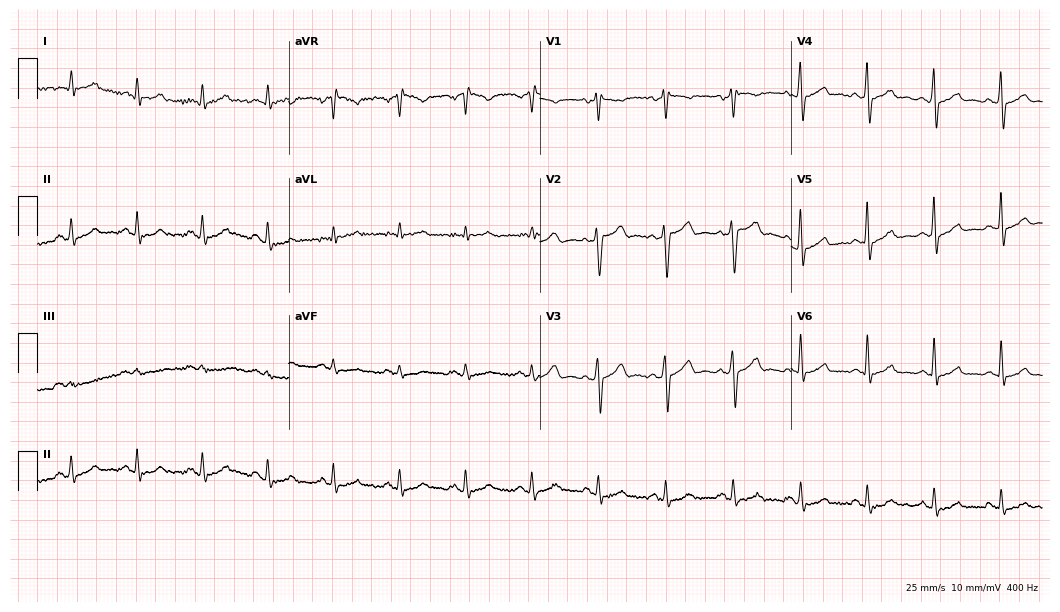
Electrocardiogram, a 59-year-old male patient. Overall reading on record: normal ECG.